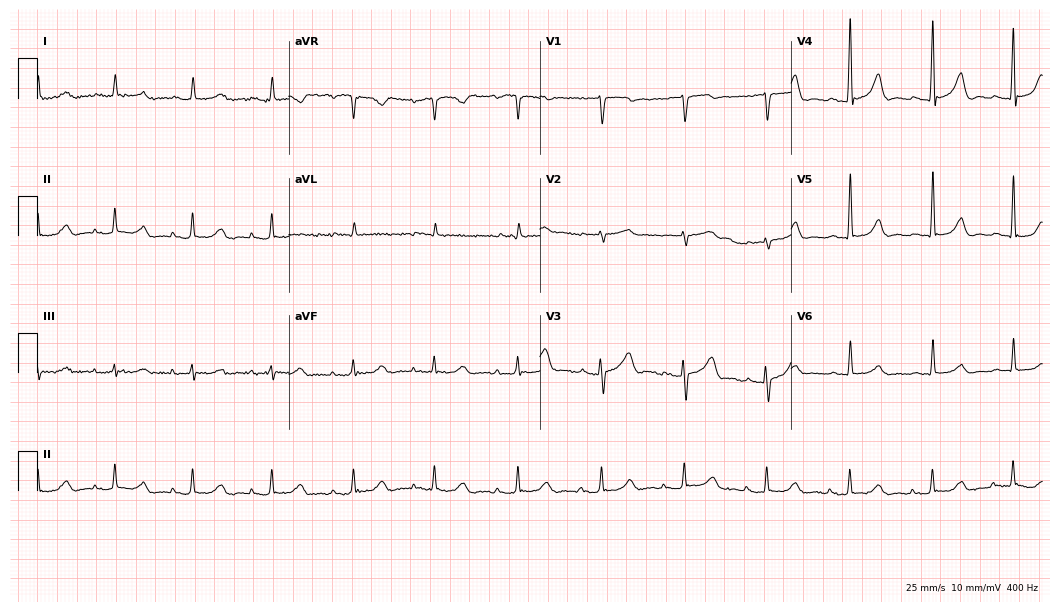
Standard 12-lead ECG recorded from a 79-year-old male (10.2-second recording at 400 Hz). Read as a normal ECG.